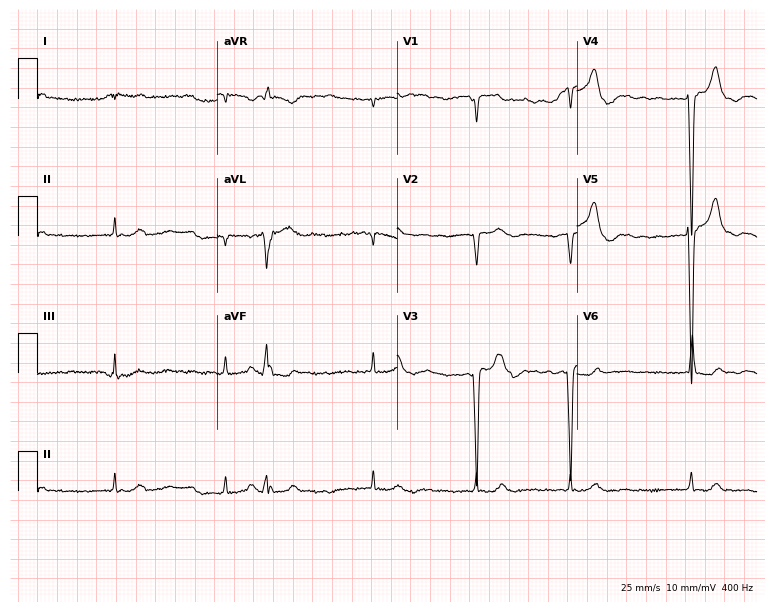
12-lead ECG from a 77-year-old male. Shows atrial fibrillation.